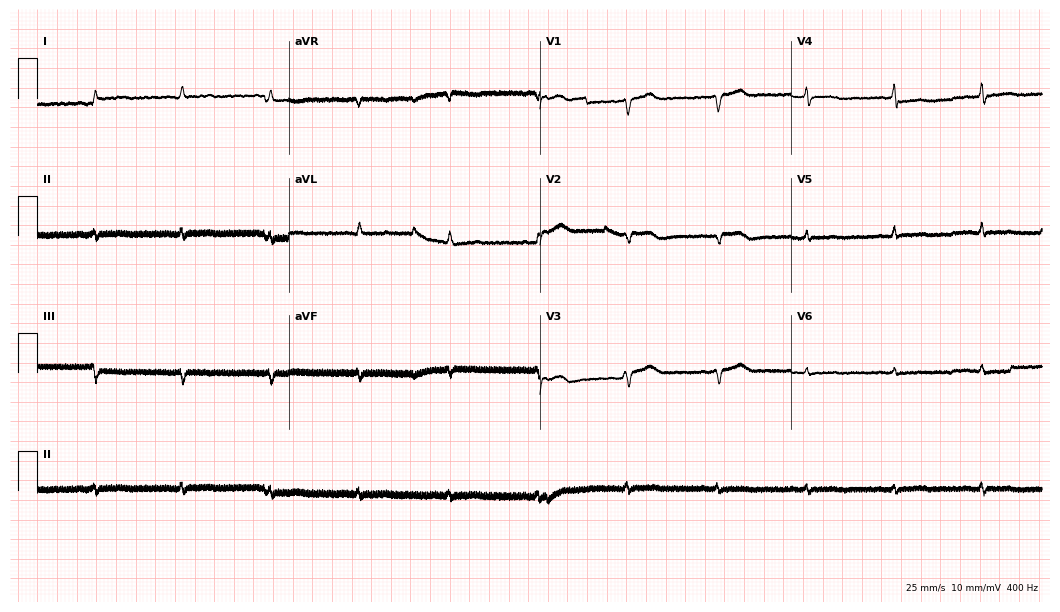
12-lead ECG from a man, 60 years old. No first-degree AV block, right bundle branch block, left bundle branch block, sinus bradycardia, atrial fibrillation or sinus tachycardia recorded for this tracing.